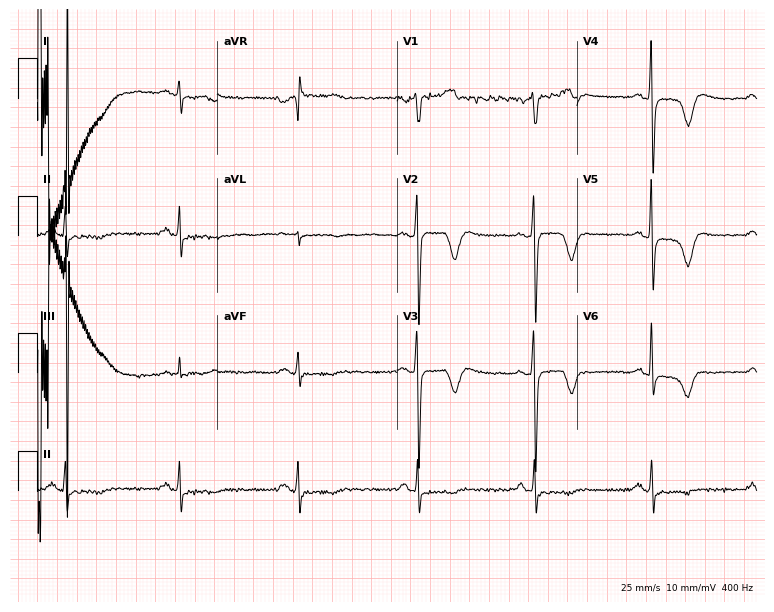
Resting 12-lead electrocardiogram. Patient: a man, 60 years old. None of these six findings is recorded: first-degree AV block, right bundle branch block, left bundle branch block, sinus bradycardia, atrial fibrillation, sinus tachycardia.